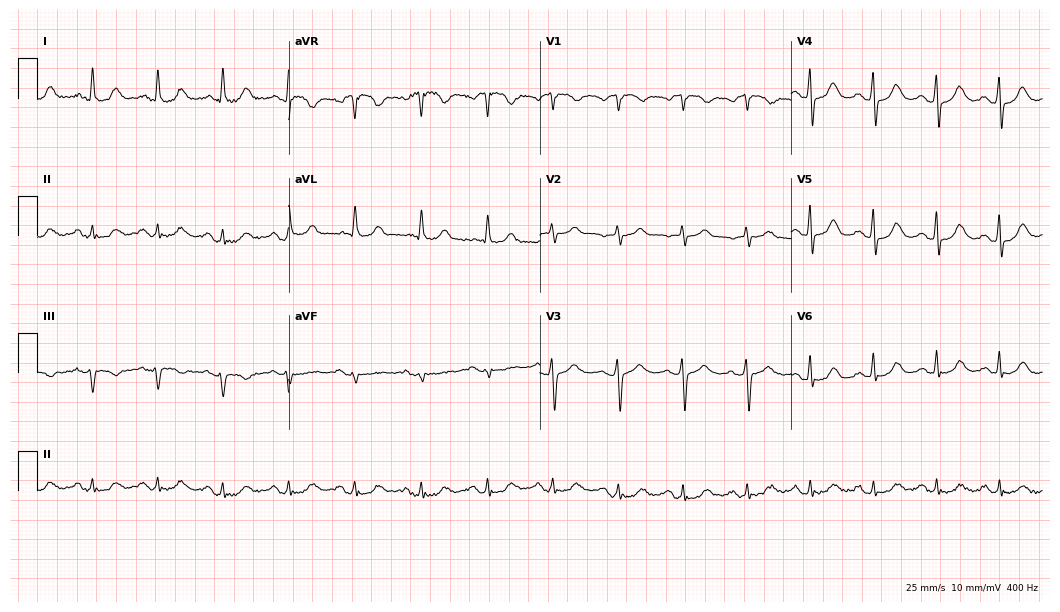
ECG — a 71-year-old female. Screened for six findings — first-degree AV block, right bundle branch block (RBBB), left bundle branch block (LBBB), sinus bradycardia, atrial fibrillation (AF), sinus tachycardia — none is recorded.